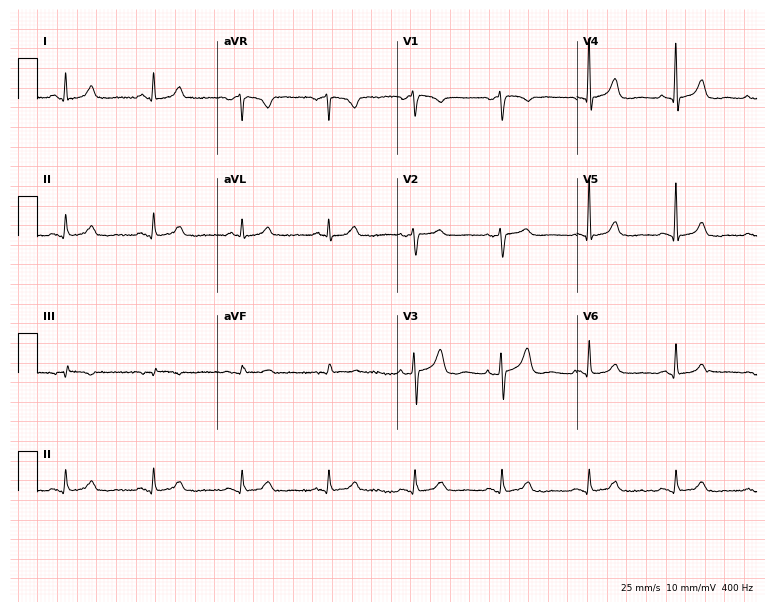
Standard 12-lead ECG recorded from an 82-year-old female (7.3-second recording at 400 Hz). None of these six findings is recorded: first-degree AV block, right bundle branch block, left bundle branch block, sinus bradycardia, atrial fibrillation, sinus tachycardia.